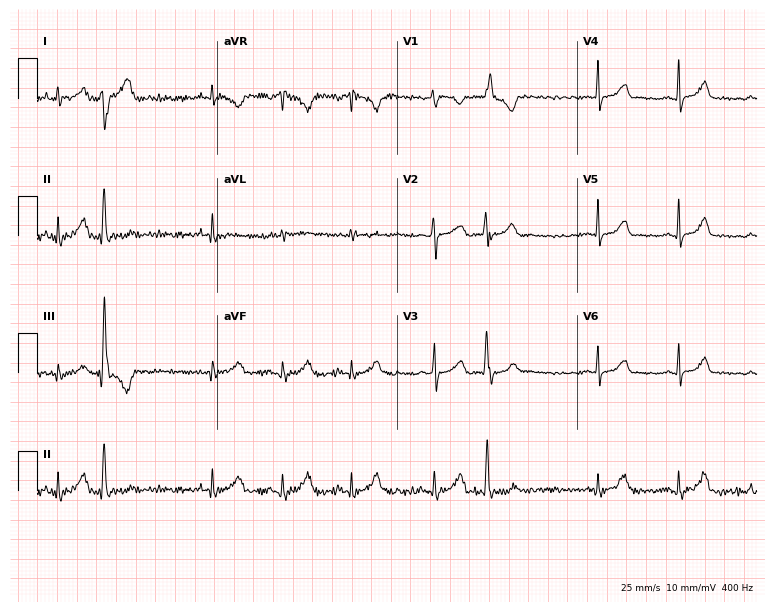
Electrocardiogram, a 20-year-old female. Of the six screened findings (first-degree AV block, right bundle branch block (RBBB), left bundle branch block (LBBB), sinus bradycardia, atrial fibrillation (AF), sinus tachycardia), none is recorded.